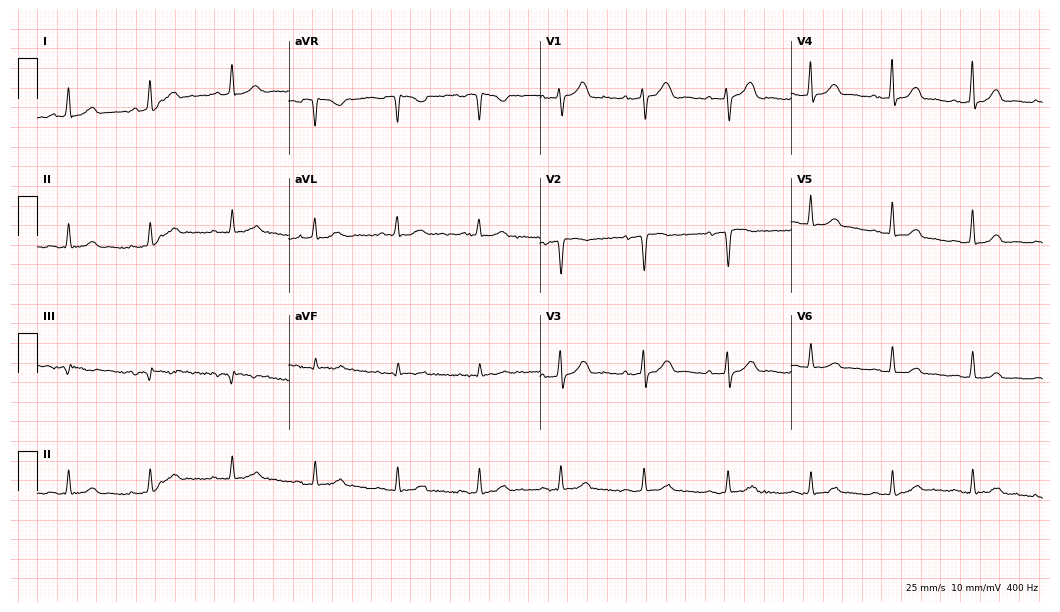
12-lead ECG (10.2-second recording at 400 Hz) from a female, 64 years old. Labelled as a normal ECG.